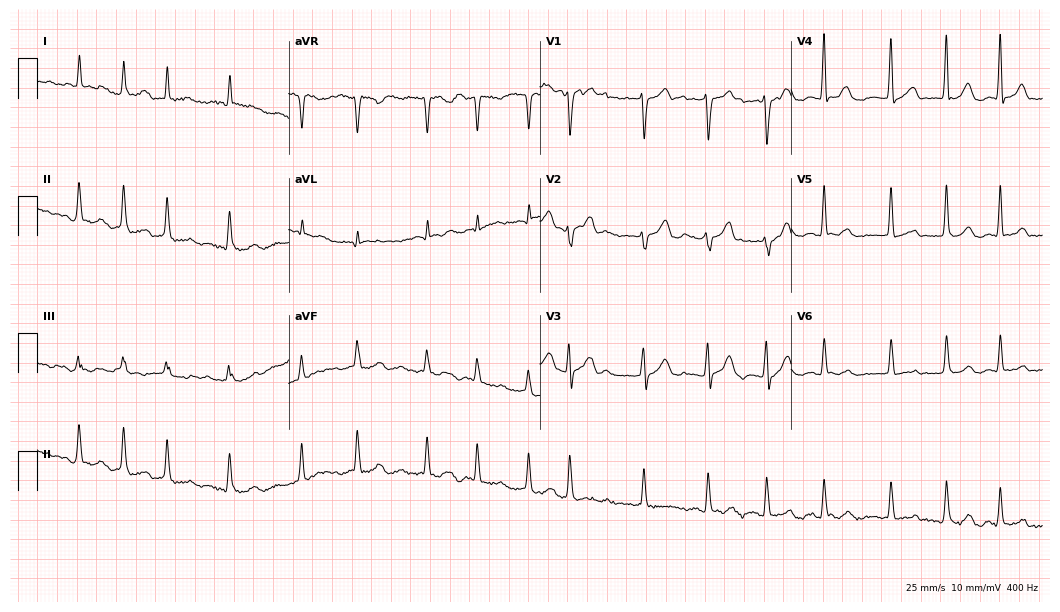
Standard 12-lead ECG recorded from a 74-year-old female patient. The tracing shows atrial fibrillation (AF).